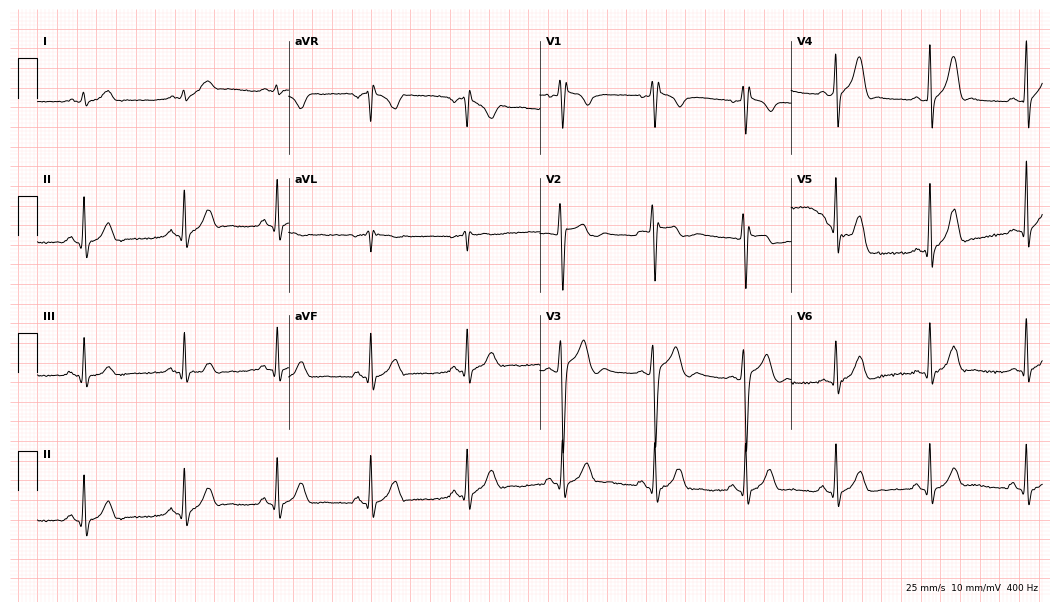
Electrocardiogram (10.2-second recording at 400 Hz), a 19-year-old male patient. Interpretation includes right bundle branch block (RBBB).